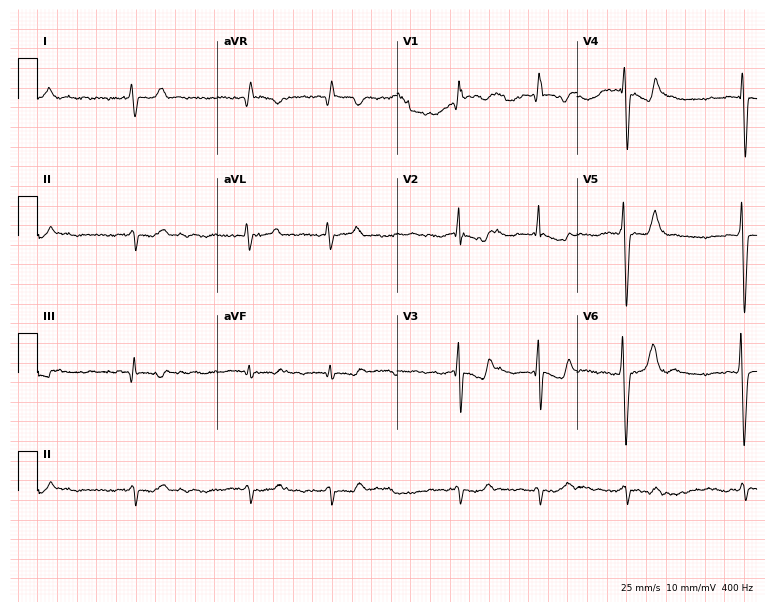
Standard 12-lead ECG recorded from a 60-year-old male patient. None of these six findings is recorded: first-degree AV block, right bundle branch block, left bundle branch block, sinus bradycardia, atrial fibrillation, sinus tachycardia. Only these six findings were labelled.